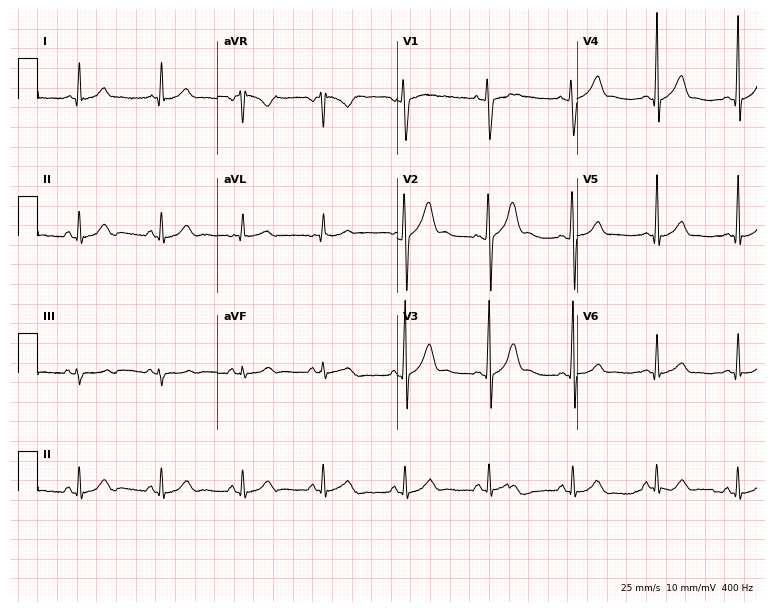
12-lead ECG from a male, 24 years old (7.3-second recording at 400 Hz). No first-degree AV block, right bundle branch block, left bundle branch block, sinus bradycardia, atrial fibrillation or sinus tachycardia recorded for this tracing.